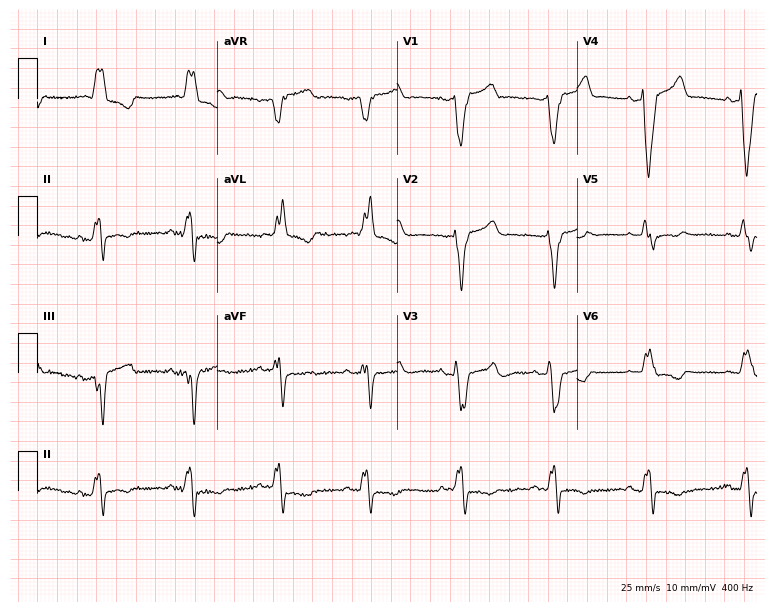
Electrocardiogram, a woman, 82 years old. Interpretation includes left bundle branch block.